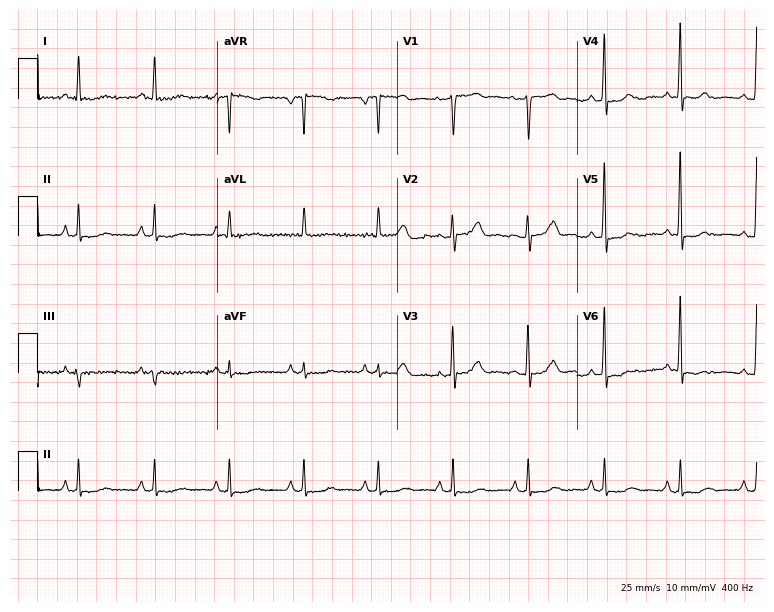
12-lead ECG from a 79-year-old woman (7.3-second recording at 400 Hz). No first-degree AV block, right bundle branch block (RBBB), left bundle branch block (LBBB), sinus bradycardia, atrial fibrillation (AF) or sinus tachycardia recorded for this tracing.